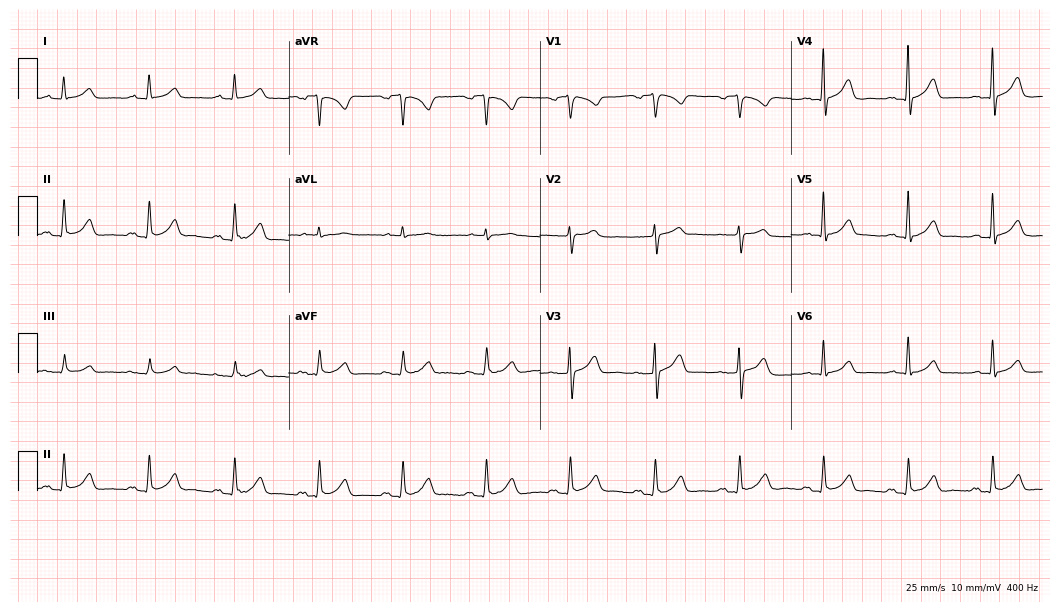
Standard 12-lead ECG recorded from a man, 56 years old. Read as a normal ECG.